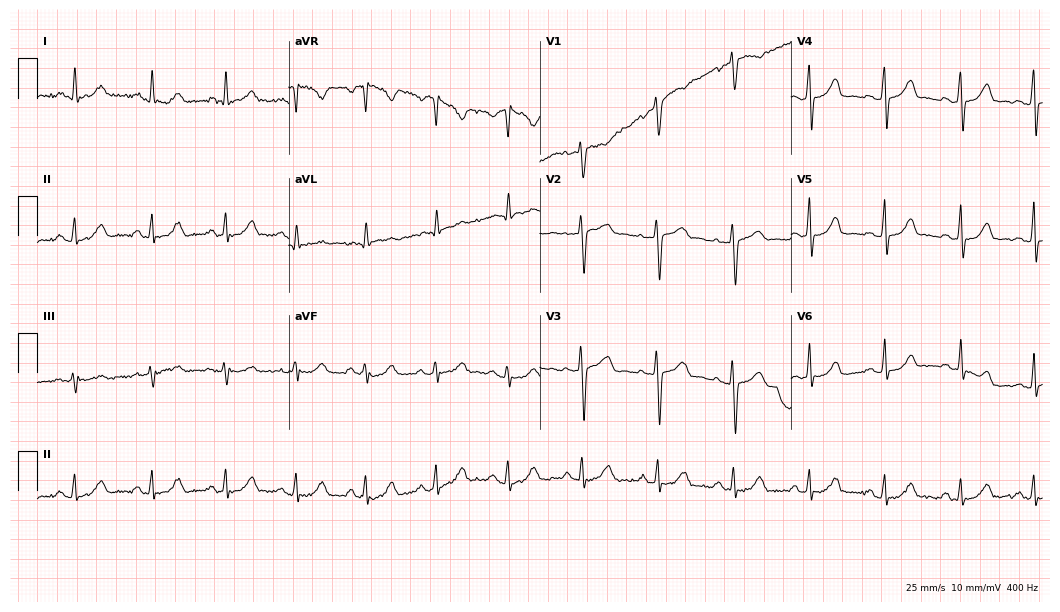
12-lead ECG from a 45-year-old woman. Labelled as a normal ECG.